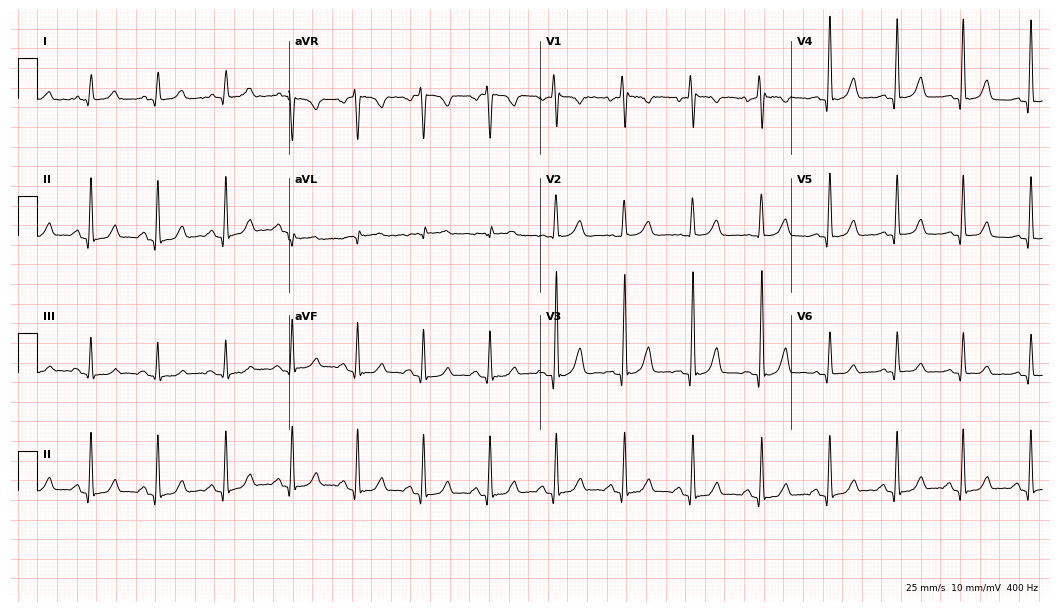
ECG — a woman, 42 years old. Labelled as a normal ECG.